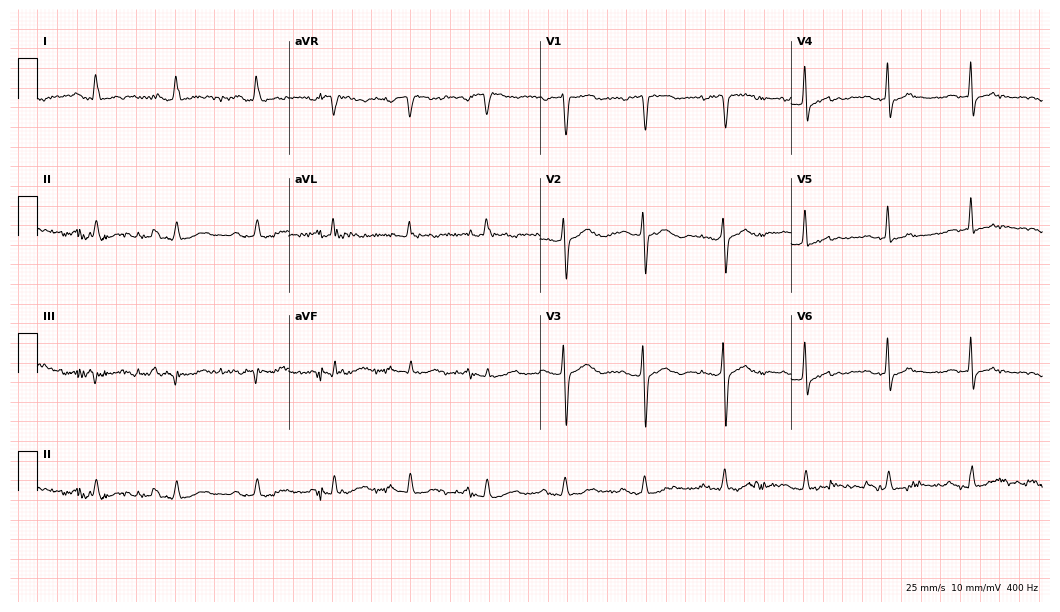
12-lead ECG from a 77-year-old female (10.2-second recording at 400 Hz). No first-degree AV block, right bundle branch block (RBBB), left bundle branch block (LBBB), sinus bradycardia, atrial fibrillation (AF) or sinus tachycardia recorded for this tracing.